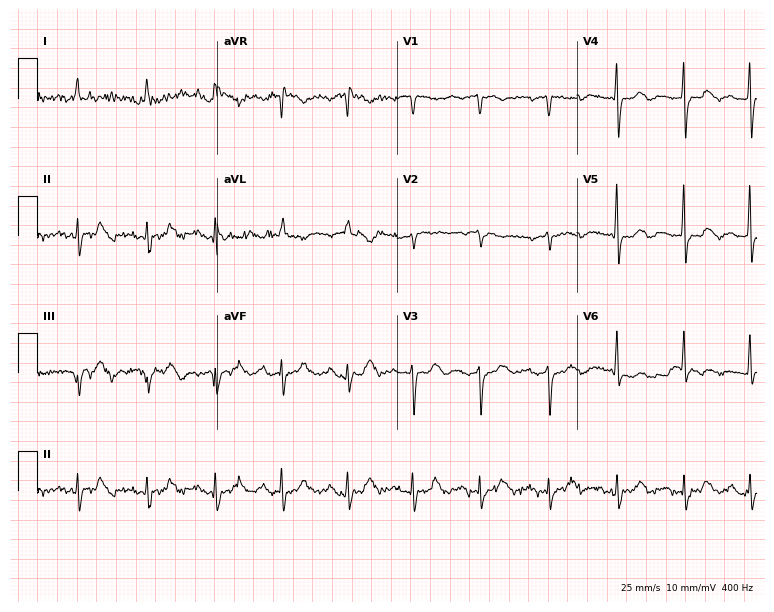
ECG (7.3-second recording at 400 Hz) — a female, 85 years old. Screened for six findings — first-degree AV block, right bundle branch block (RBBB), left bundle branch block (LBBB), sinus bradycardia, atrial fibrillation (AF), sinus tachycardia — none is recorded. Only these six findings were labelled.